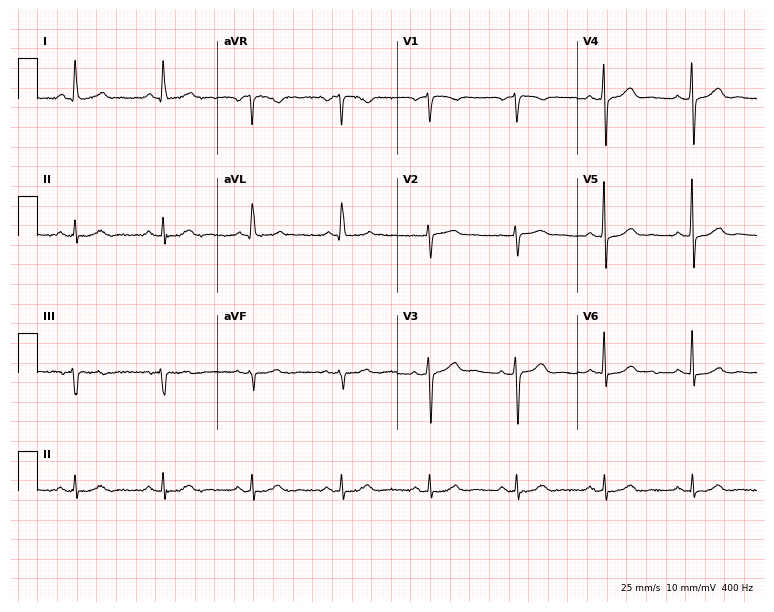
Electrocardiogram (7.3-second recording at 400 Hz), a 68-year-old male. Overall reading on record: normal ECG.